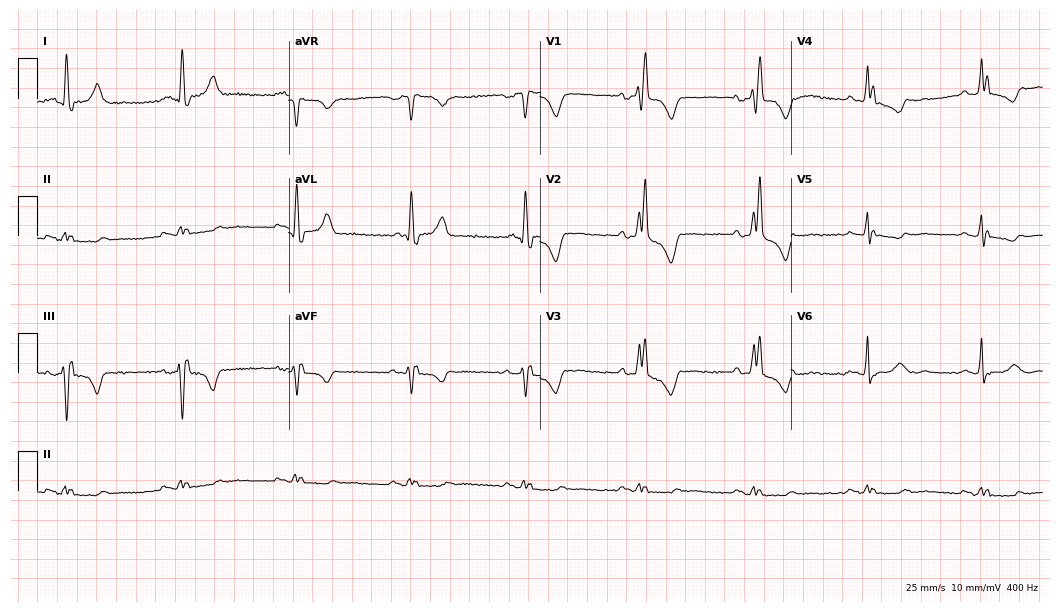
Electrocardiogram (10.2-second recording at 400 Hz), a male, 28 years old. Interpretation includes right bundle branch block.